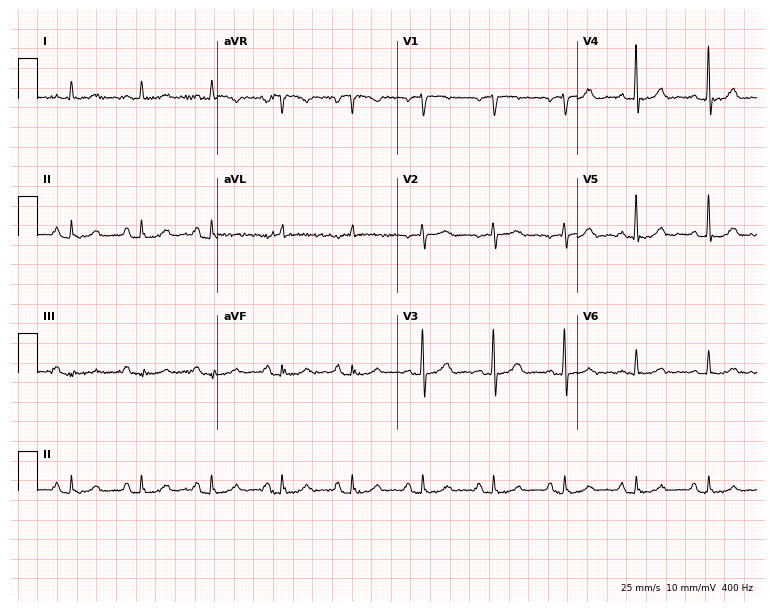
ECG — a man, 85 years old. Labelled as a normal ECG.